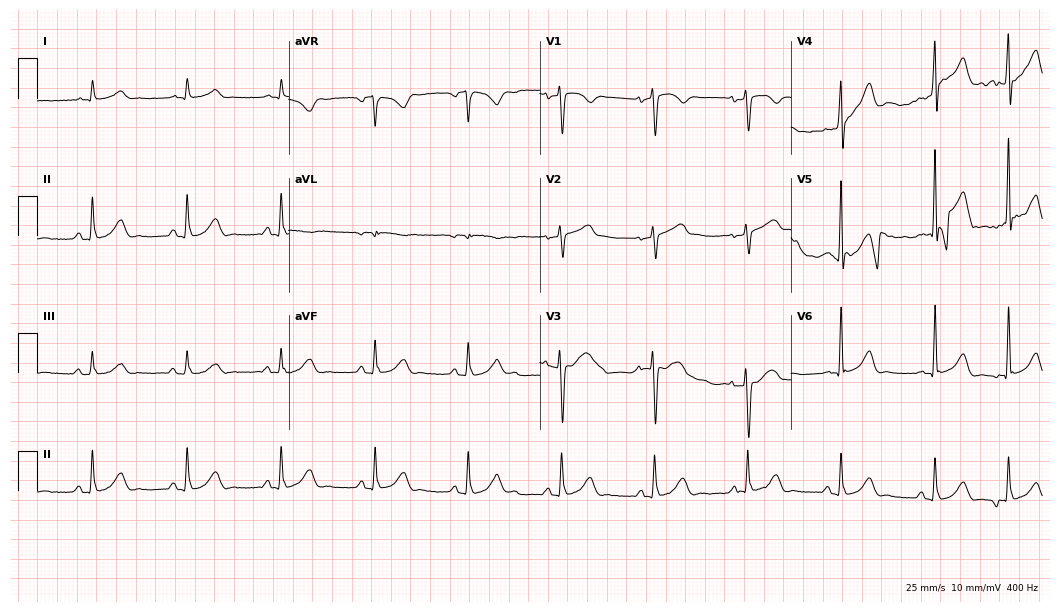
12-lead ECG from a 78-year-old man. Recorded interpretation: within normal limits.